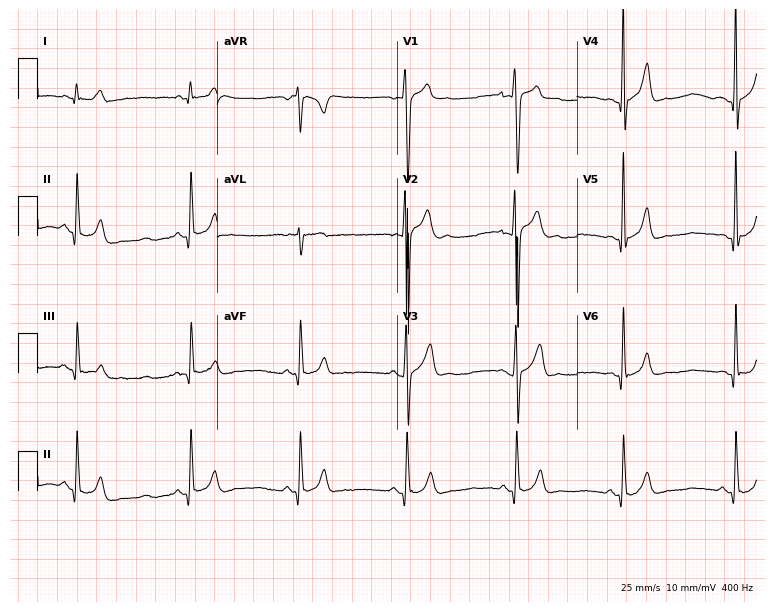
12-lead ECG from a 17-year-old male. Recorded interpretation: within normal limits.